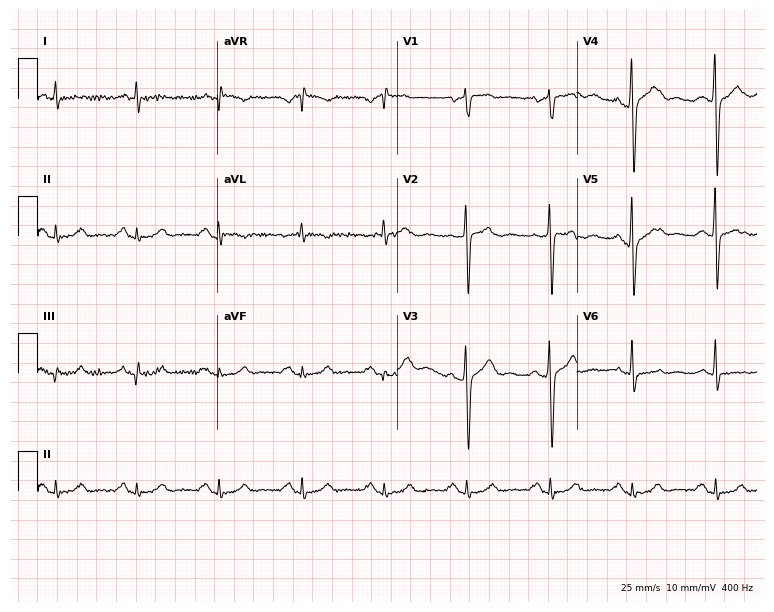
12-lead ECG from a 65-year-old man. Recorded interpretation: within normal limits.